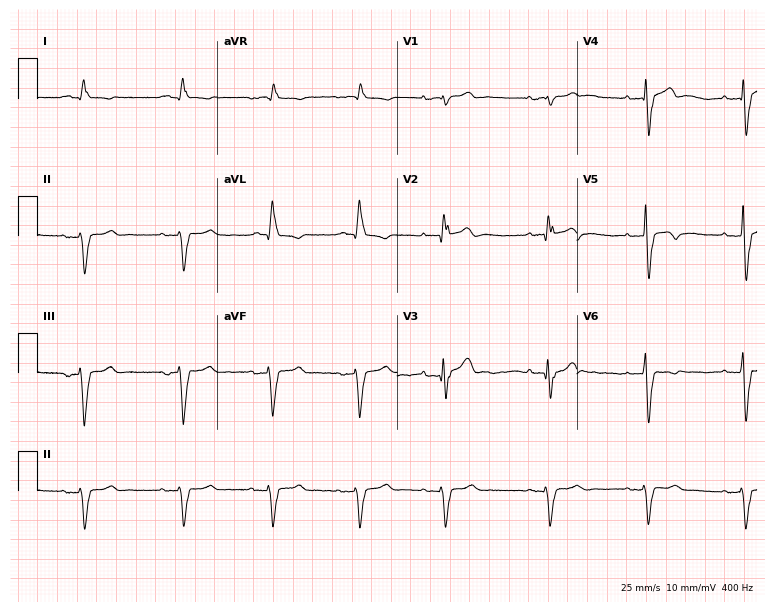
12-lead ECG (7.3-second recording at 400 Hz) from a 75-year-old man. Findings include right bundle branch block.